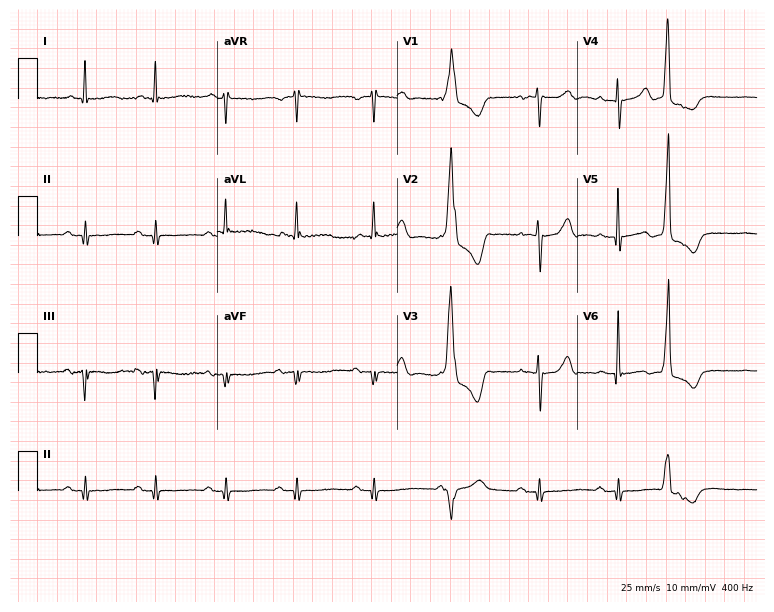
12-lead ECG from a 76-year-old male. No first-degree AV block, right bundle branch block, left bundle branch block, sinus bradycardia, atrial fibrillation or sinus tachycardia recorded for this tracing.